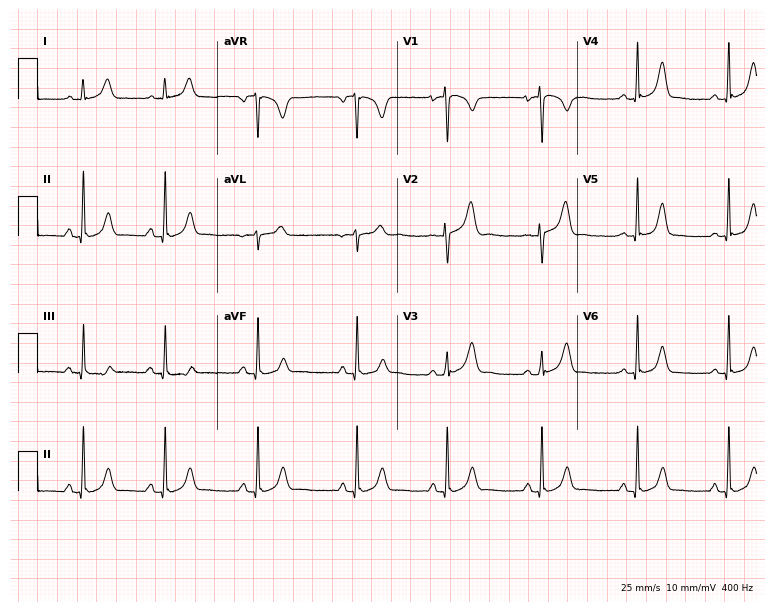
ECG — a female patient, 31 years old. Labelled as a normal ECG.